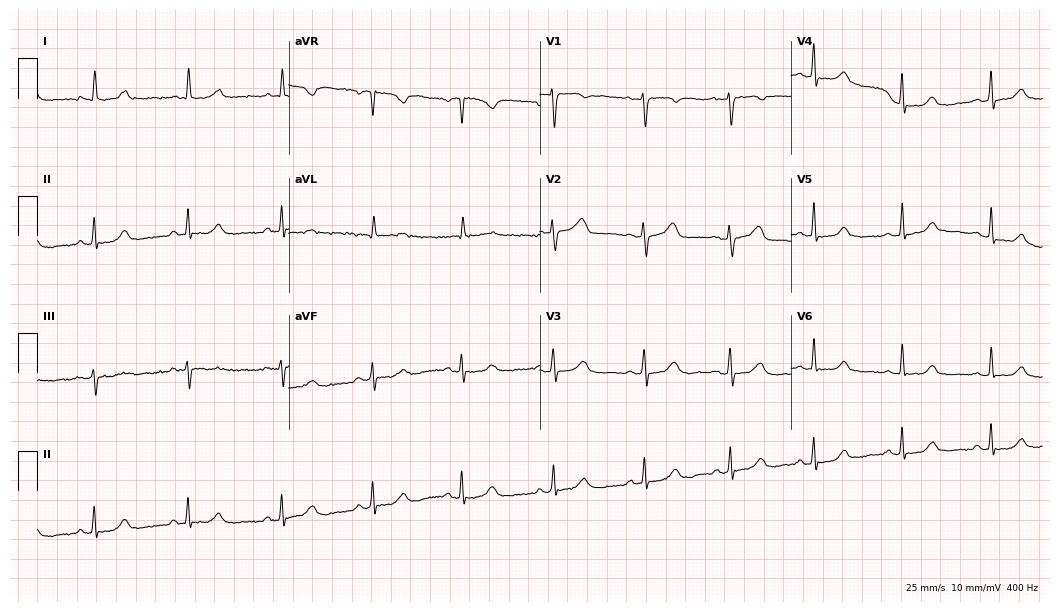
Standard 12-lead ECG recorded from a 50-year-old woman (10.2-second recording at 400 Hz). Read as a normal ECG.